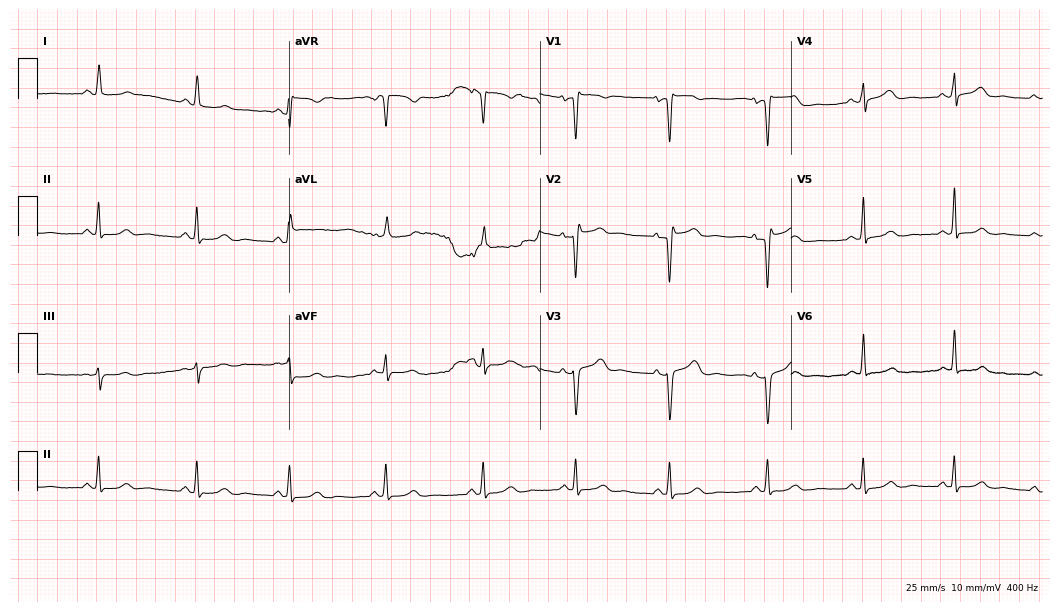
12-lead ECG (10.2-second recording at 400 Hz) from a 41-year-old woman. Screened for six findings — first-degree AV block, right bundle branch block (RBBB), left bundle branch block (LBBB), sinus bradycardia, atrial fibrillation (AF), sinus tachycardia — none is recorded. Only these six findings were labelled.